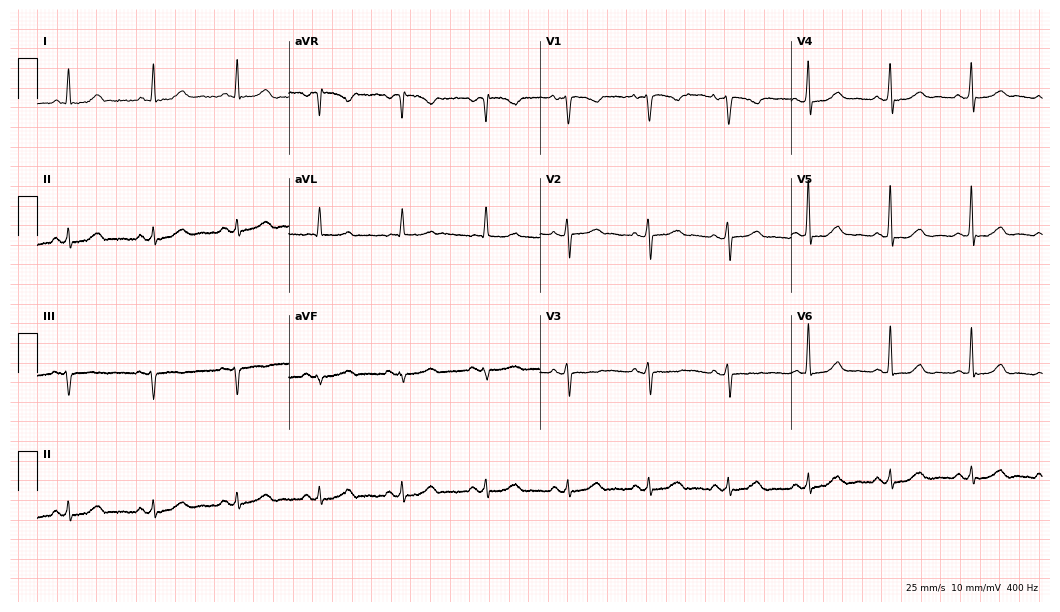
ECG (10.2-second recording at 400 Hz) — a 55-year-old female patient. Screened for six findings — first-degree AV block, right bundle branch block (RBBB), left bundle branch block (LBBB), sinus bradycardia, atrial fibrillation (AF), sinus tachycardia — none is recorded.